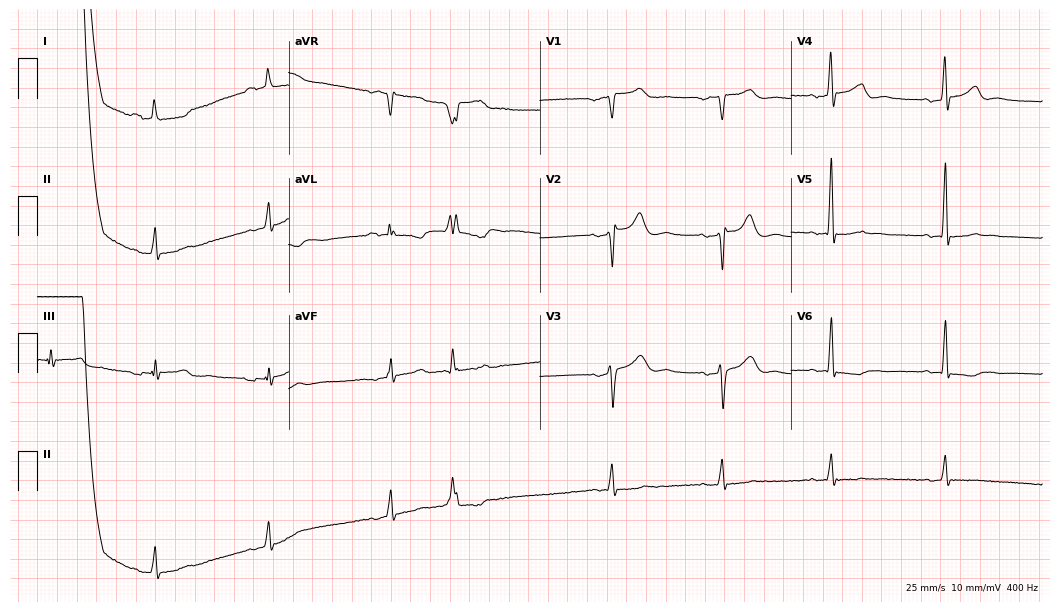
12-lead ECG from a man, 48 years old. Screened for six findings — first-degree AV block, right bundle branch block, left bundle branch block, sinus bradycardia, atrial fibrillation, sinus tachycardia — none is recorded.